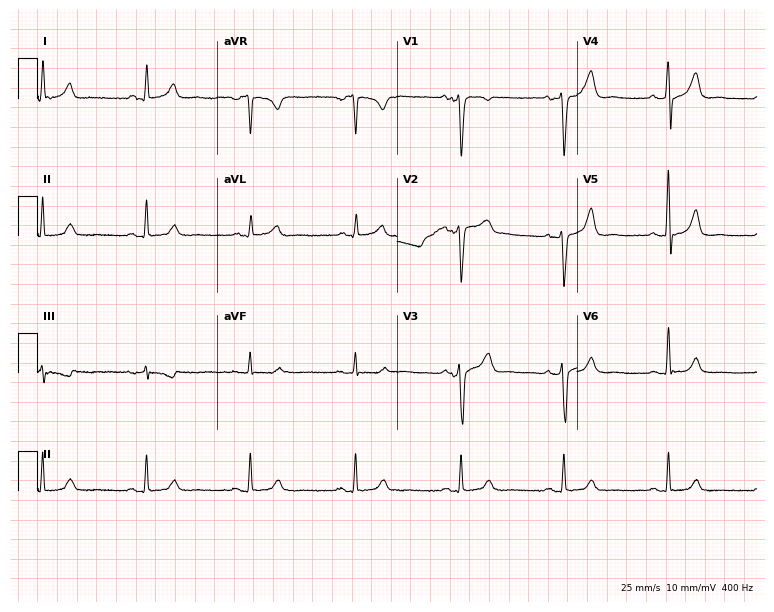
Standard 12-lead ECG recorded from a female patient, 47 years old. None of these six findings is recorded: first-degree AV block, right bundle branch block, left bundle branch block, sinus bradycardia, atrial fibrillation, sinus tachycardia.